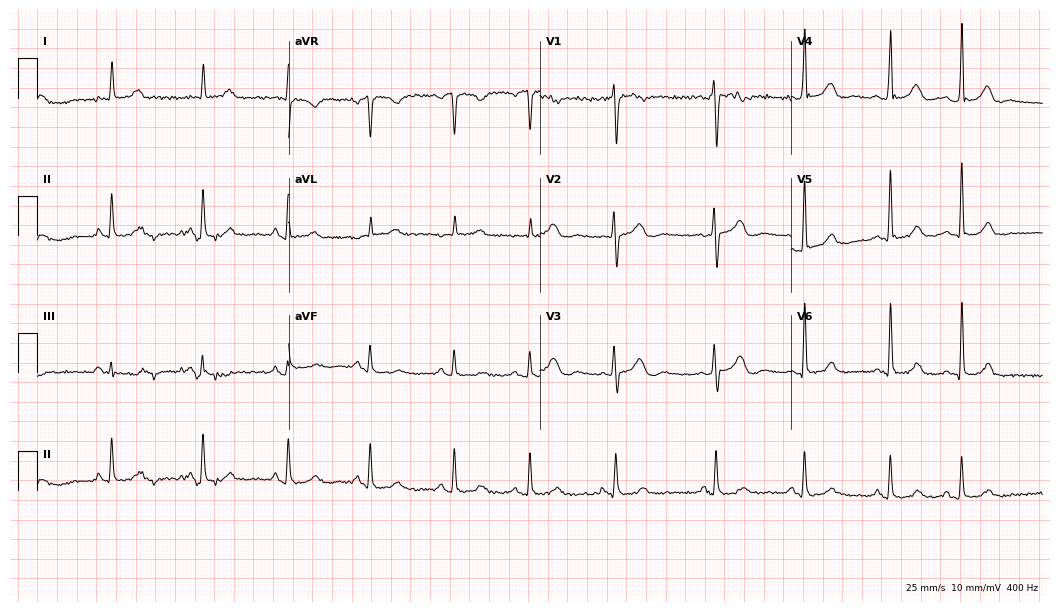
12-lead ECG (10.2-second recording at 400 Hz) from a man, 49 years old. Screened for six findings — first-degree AV block, right bundle branch block, left bundle branch block, sinus bradycardia, atrial fibrillation, sinus tachycardia — none is recorded. Only these six findings were labelled.